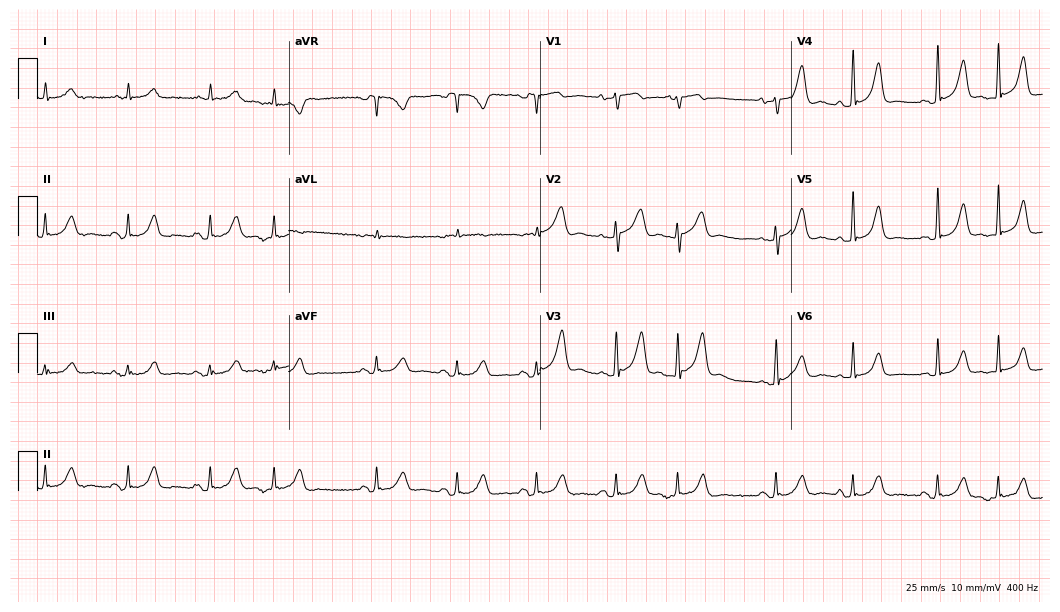
Electrocardiogram (10.2-second recording at 400 Hz), a 77-year-old female. Of the six screened findings (first-degree AV block, right bundle branch block (RBBB), left bundle branch block (LBBB), sinus bradycardia, atrial fibrillation (AF), sinus tachycardia), none is recorded. Only these six findings were labelled.